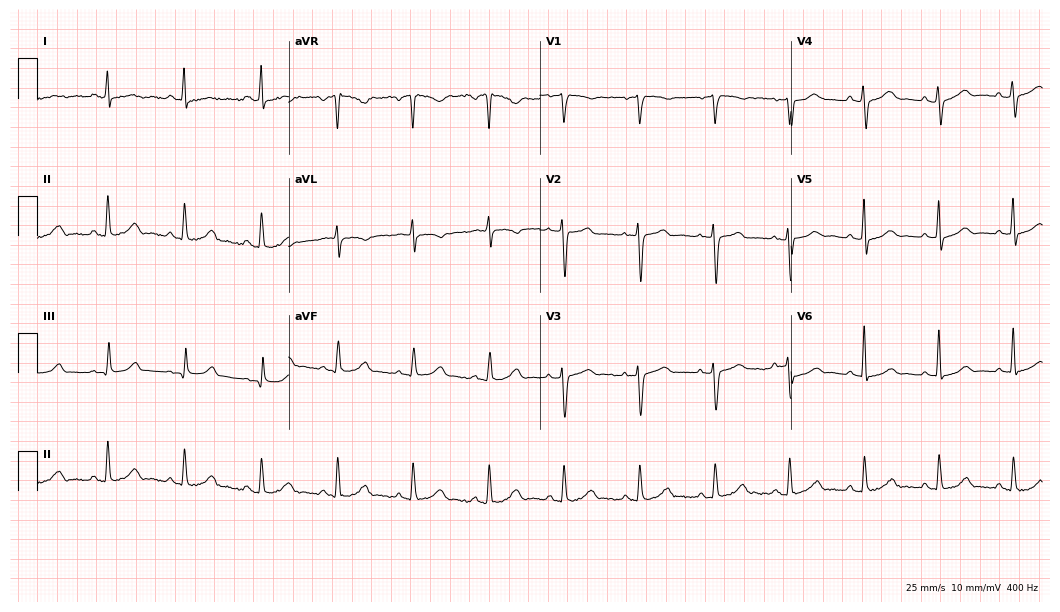
Standard 12-lead ECG recorded from a 62-year-old female patient. Read as a normal ECG.